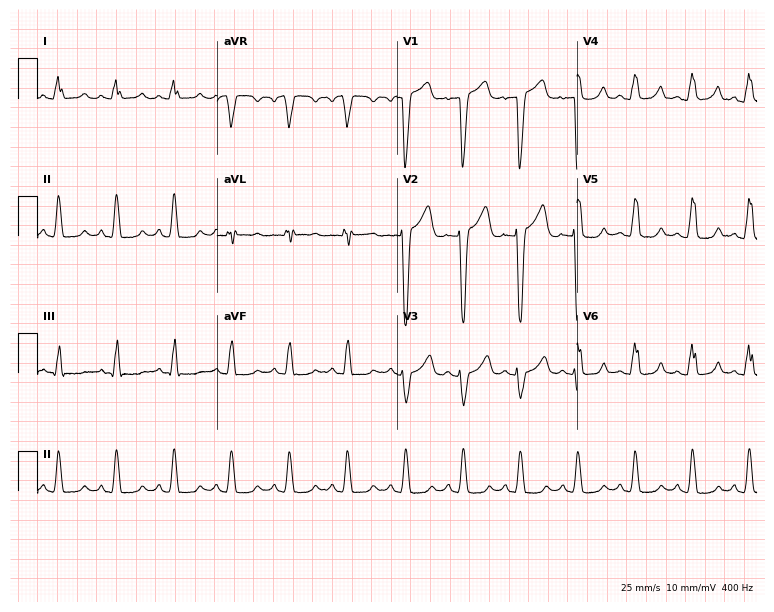
Resting 12-lead electrocardiogram (7.3-second recording at 400 Hz). Patient: a woman, 59 years old. The tracing shows left bundle branch block.